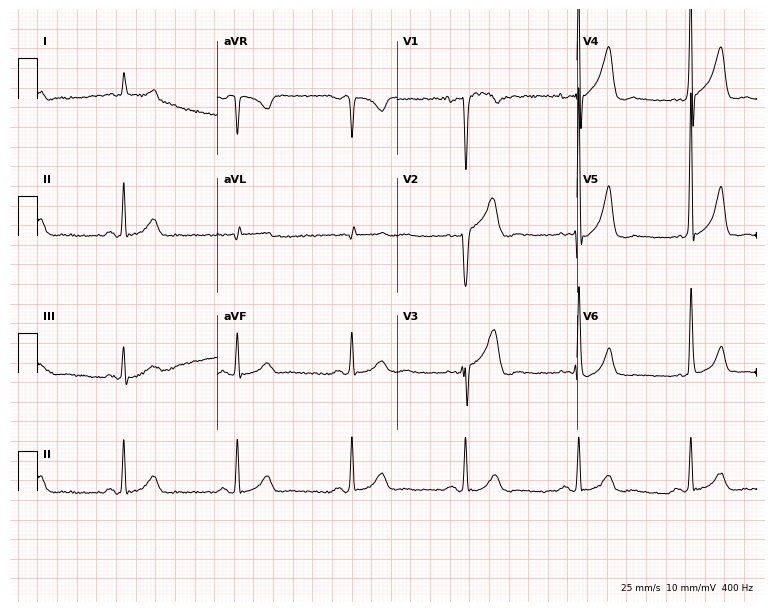
Electrocardiogram, a male, 70 years old. Of the six screened findings (first-degree AV block, right bundle branch block, left bundle branch block, sinus bradycardia, atrial fibrillation, sinus tachycardia), none is recorded.